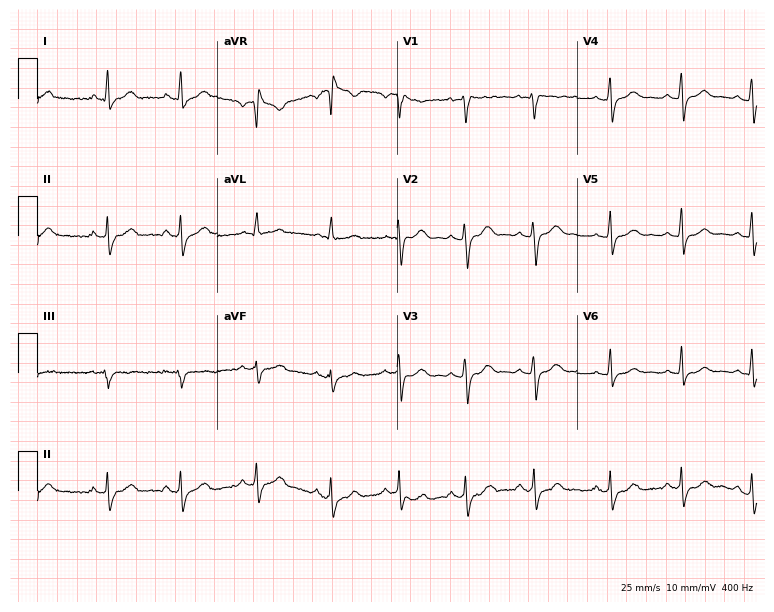
Electrocardiogram, a 26-year-old woman. Of the six screened findings (first-degree AV block, right bundle branch block (RBBB), left bundle branch block (LBBB), sinus bradycardia, atrial fibrillation (AF), sinus tachycardia), none is recorded.